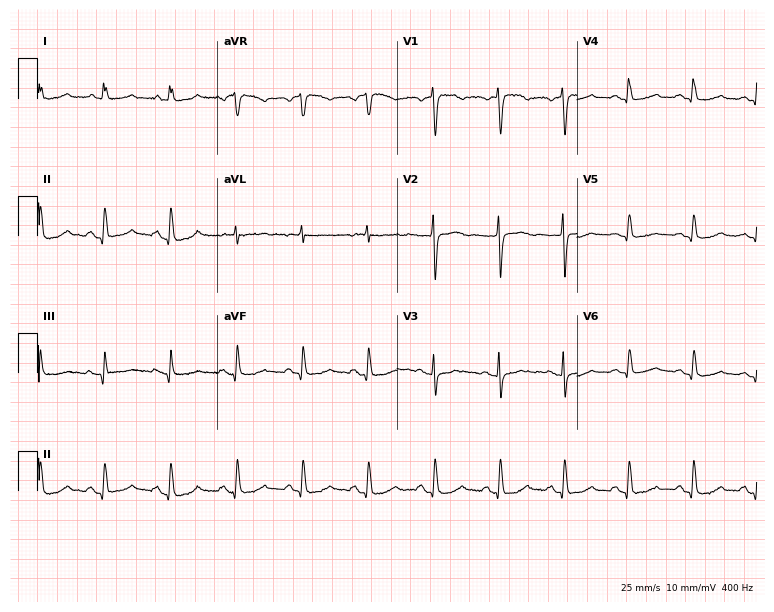
Electrocardiogram (7.3-second recording at 400 Hz), a 71-year-old female. Of the six screened findings (first-degree AV block, right bundle branch block, left bundle branch block, sinus bradycardia, atrial fibrillation, sinus tachycardia), none is recorded.